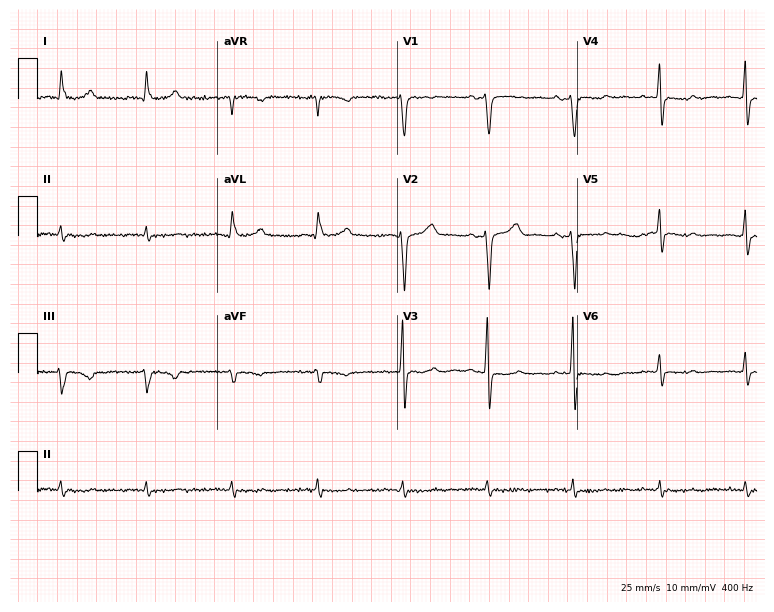
ECG (7.3-second recording at 400 Hz) — a male patient, 73 years old. Screened for six findings — first-degree AV block, right bundle branch block (RBBB), left bundle branch block (LBBB), sinus bradycardia, atrial fibrillation (AF), sinus tachycardia — none is recorded. Findings outside these six are not listed.